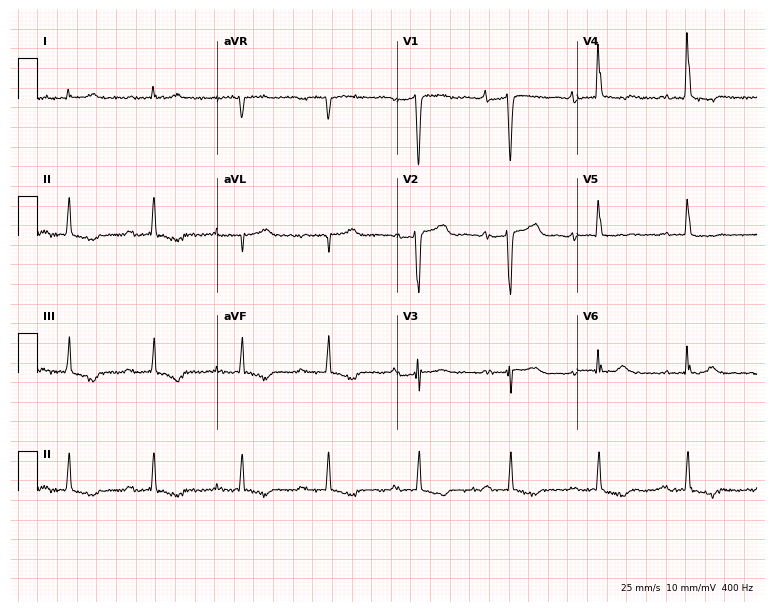
12-lead ECG (7.3-second recording at 400 Hz) from a man, 49 years old. Findings include first-degree AV block.